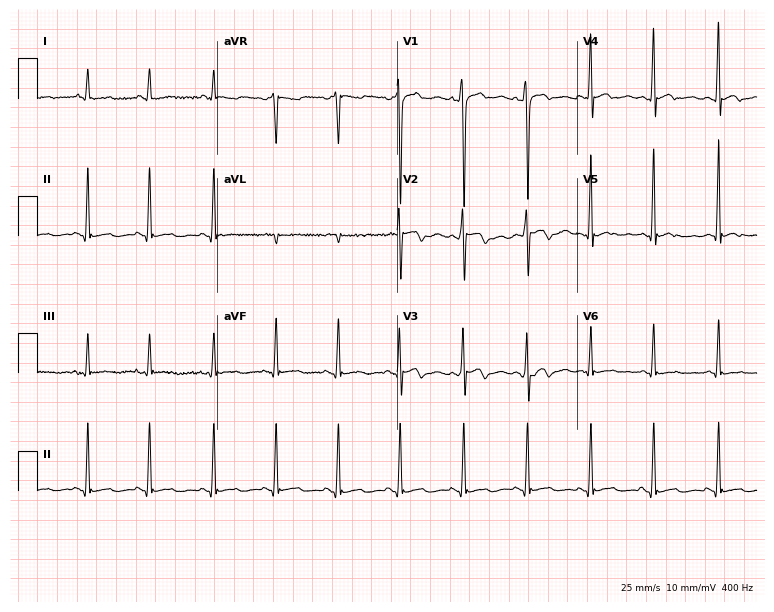
ECG (7.3-second recording at 400 Hz) — a 17-year-old male patient. Screened for six findings — first-degree AV block, right bundle branch block, left bundle branch block, sinus bradycardia, atrial fibrillation, sinus tachycardia — none is recorded.